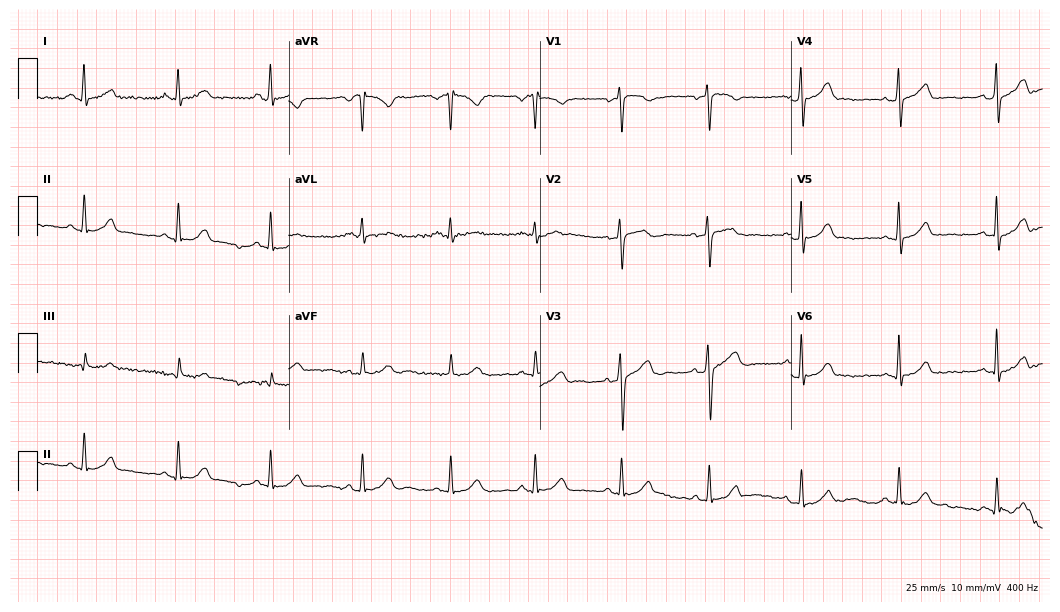
Resting 12-lead electrocardiogram. Patient: a 37-year-old man. None of these six findings is recorded: first-degree AV block, right bundle branch block, left bundle branch block, sinus bradycardia, atrial fibrillation, sinus tachycardia. Only these six findings were labelled.